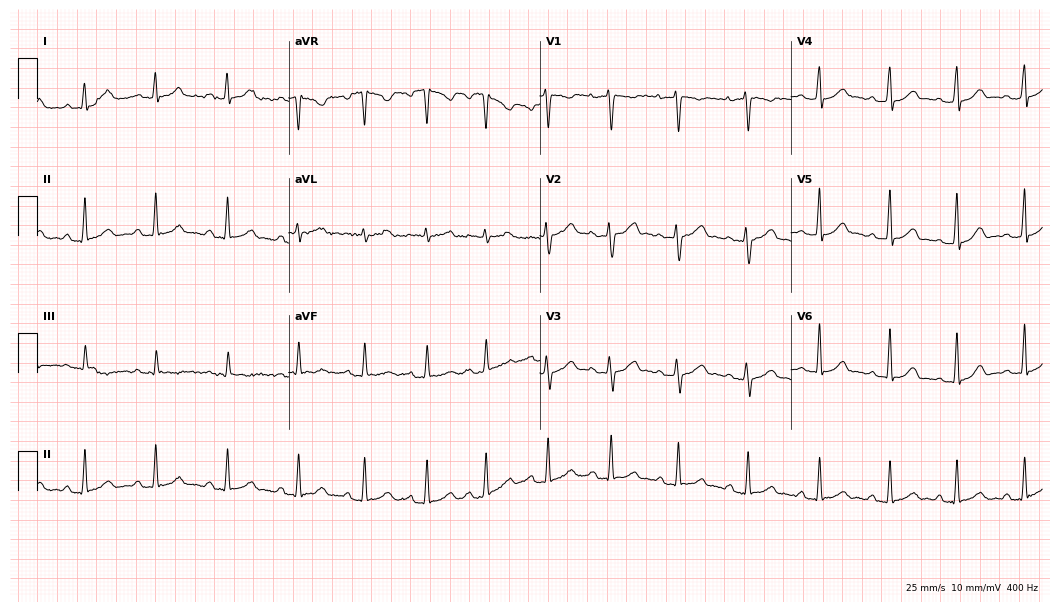
Resting 12-lead electrocardiogram. Patient: a female, 32 years old. Read as a normal ECG.